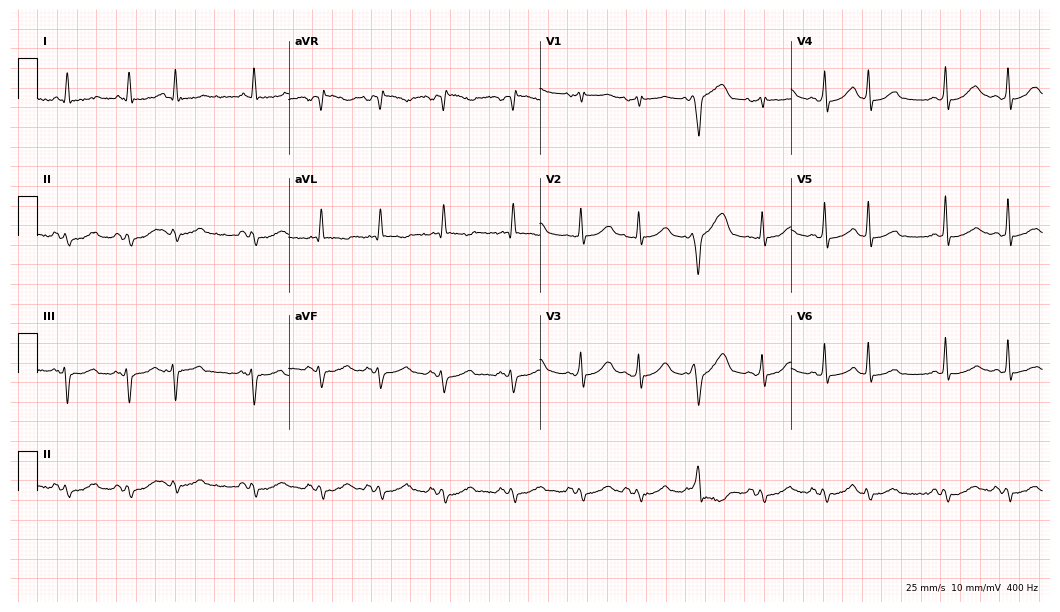
ECG (10.2-second recording at 400 Hz) — a female, 85 years old. Screened for six findings — first-degree AV block, right bundle branch block (RBBB), left bundle branch block (LBBB), sinus bradycardia, atrial fibrillation (AF), sinus tachycardia — none is recorded.